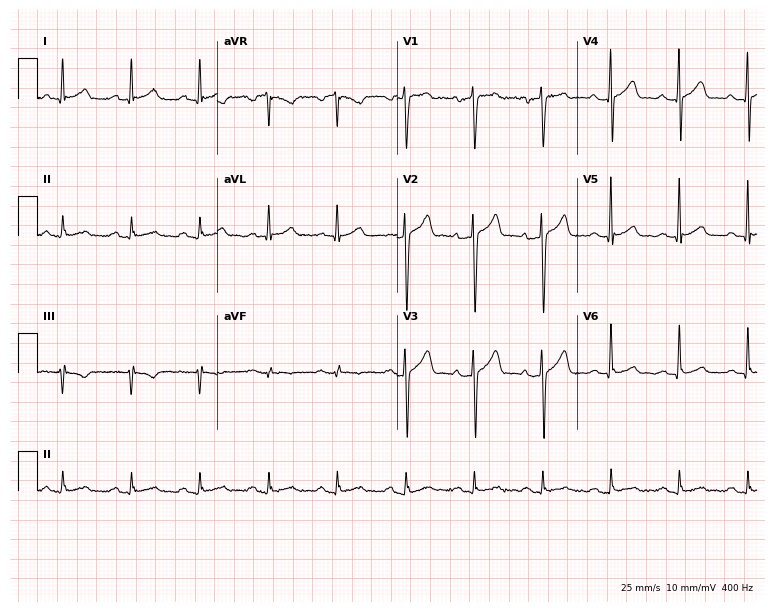
Electrocardiogram (7.3-second recording at 400 Hz), a male patient, 51 years old. Of the six screened findings (first-degree AV block, right bundle branch block (RBBB), left bundle branch block (LBBB), sinus bradycardia, atrial fibrillation (AF), sinus tachycardia), none is recorded. Only these six findings were labelled.